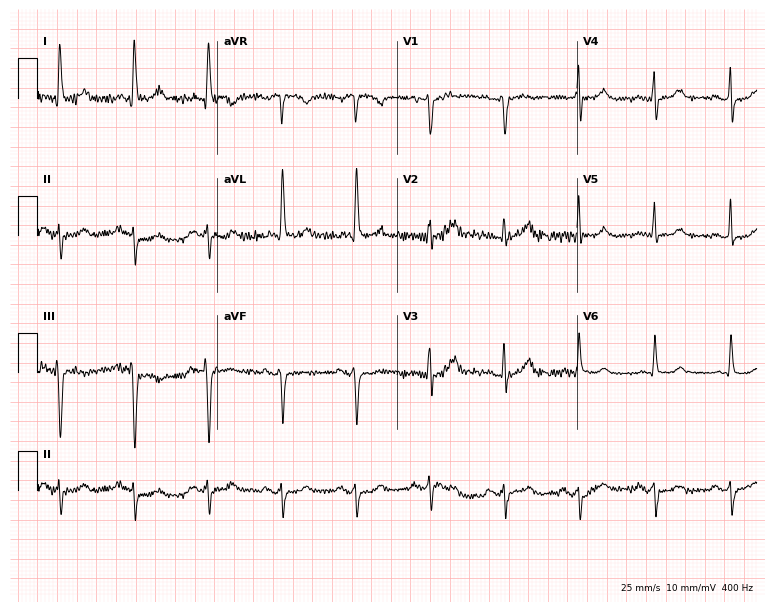
12-lead ECG from a 61-year-old woman. Screened for six findings — first-degree AV block, right bundle branch block, left bundle branch block, sinus bradycardia, atrial fibrillation, sinus tachycardia — none is recorded.